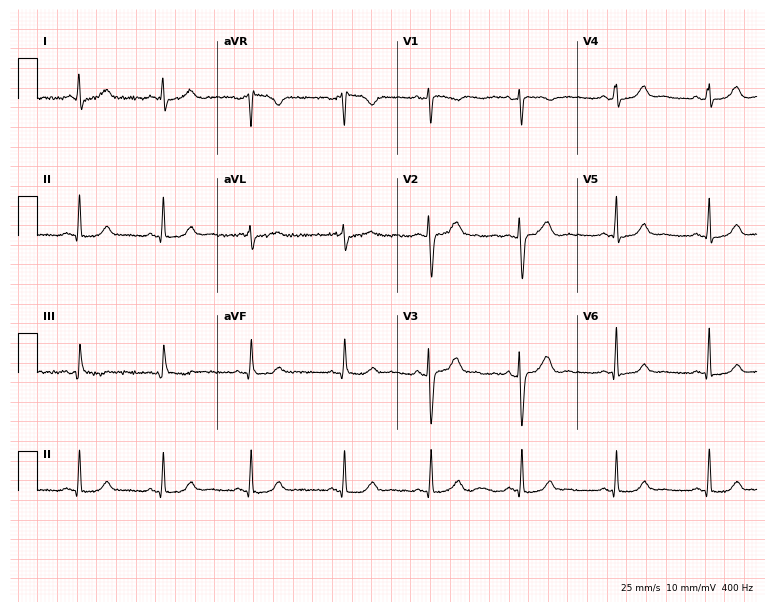
Standard 12-lead ECG recorded from a man, 24 years old. None of these six findings is recorded: first-degree AV block, right bundle branch block, left bundle branch block, sinus bradycardia, atrial fibrillation, sinus tachycardia. Only these six findings were labelled.